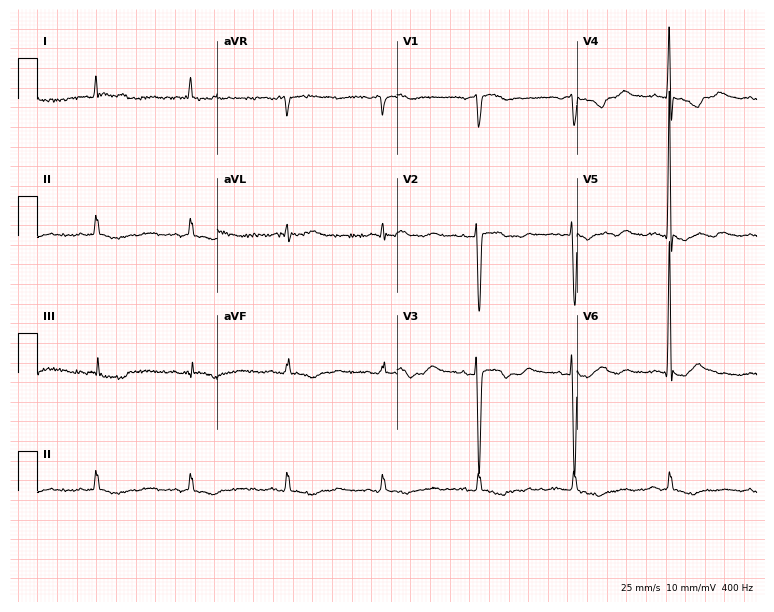
Resting 12-lead electrocardiogram (7.3-second recording at 400 Hz). Patient: an 85-year-old male. None of these six findings is recorded: first-degree AV block, right bundle branch block, left bundle branch block, sinus bradycardia, atrial fibrillation, sinus tachycardia.